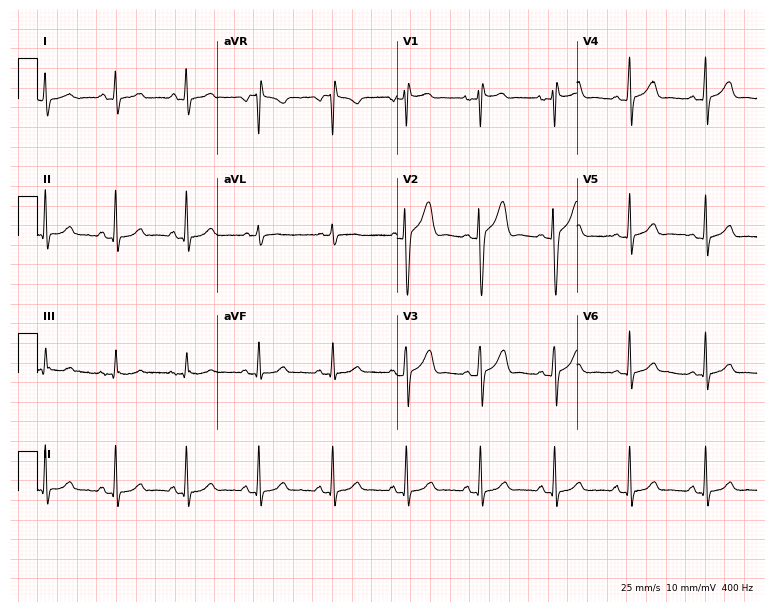
12-lead ECG (7.3-second recording at 400 Hz) from a 17-year-old male. Labelled as a normal ECG.